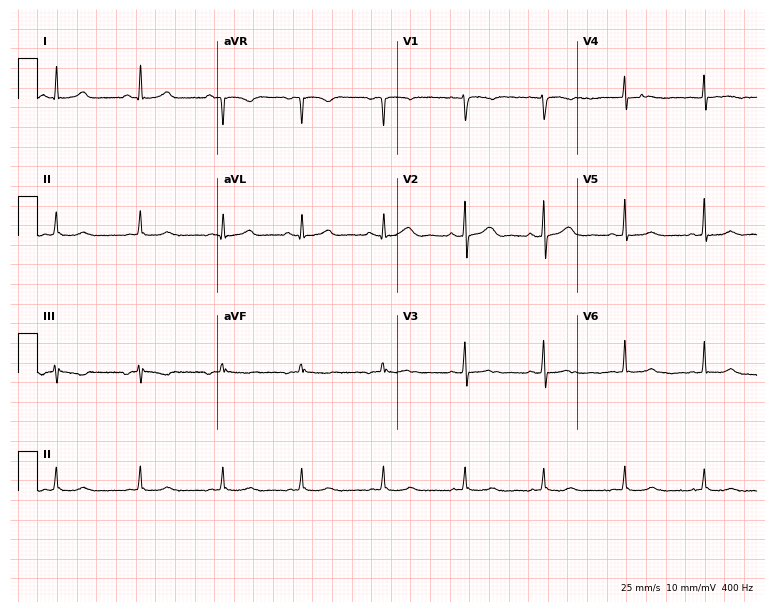
Resting 12-lead electrocardiogram. Patient: a female, 30 years old. None of these six findings is recorded: first-degree AV block, right bundle branch block, left bundle branch block, sinus bradycardia, atrial fibrillation, sinus tachycardia. Findings outside these six are not listed.